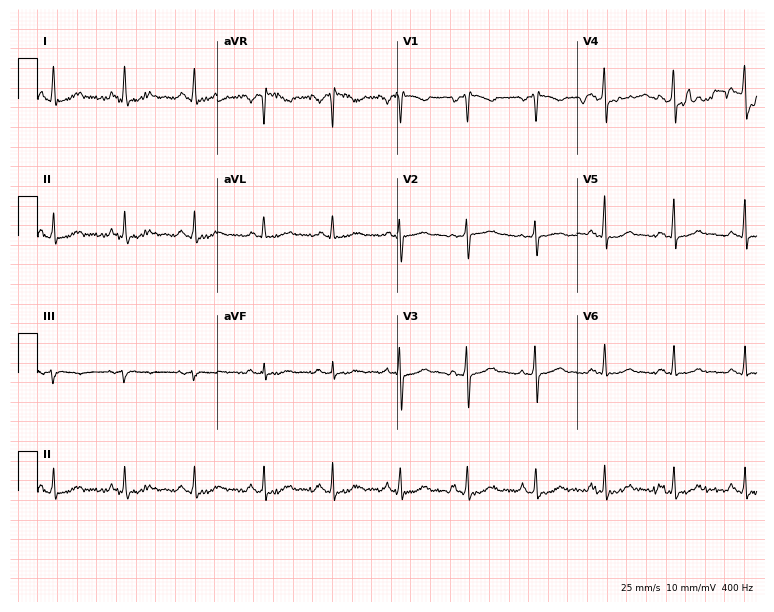
12-lead ECG from a woman, 40 years old. Labelled as a normal ECG.